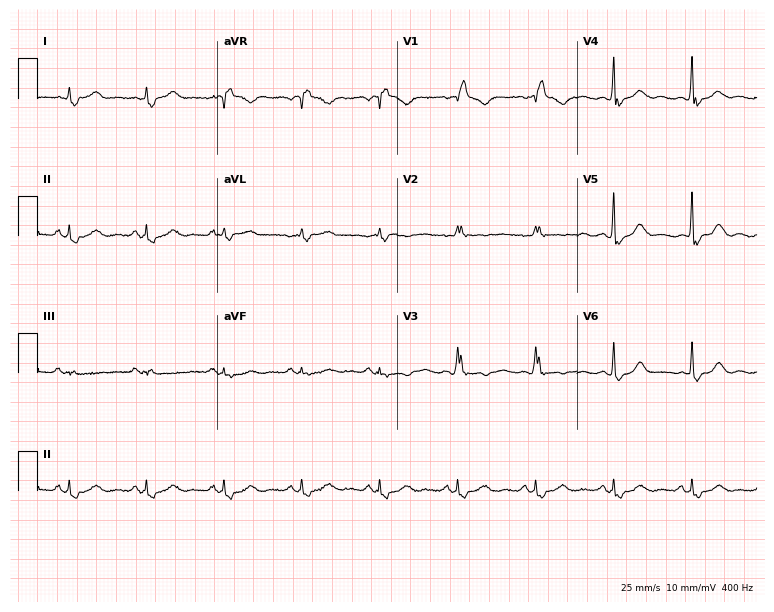
Resting 12-lead electrocardiogram (7.3-second recording at 400 Hz). Patient: a 61-year-old woman. The tracing shows right bundle branch block.